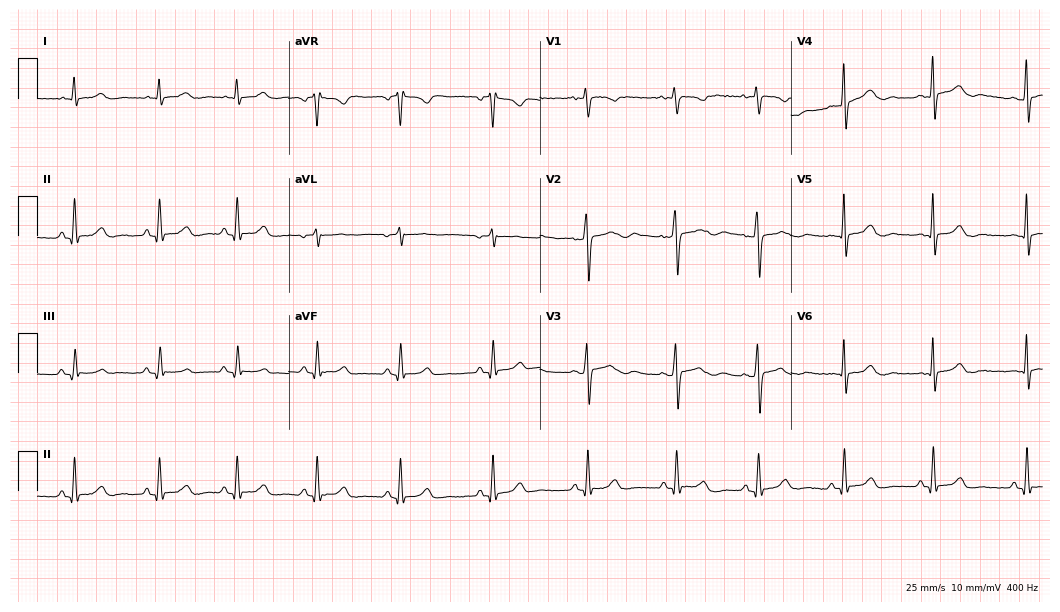
12-lead ECG from a female patient, 22 years old (10.2-second recording at 400 Hz). Recorded interpretation: within normal limits.